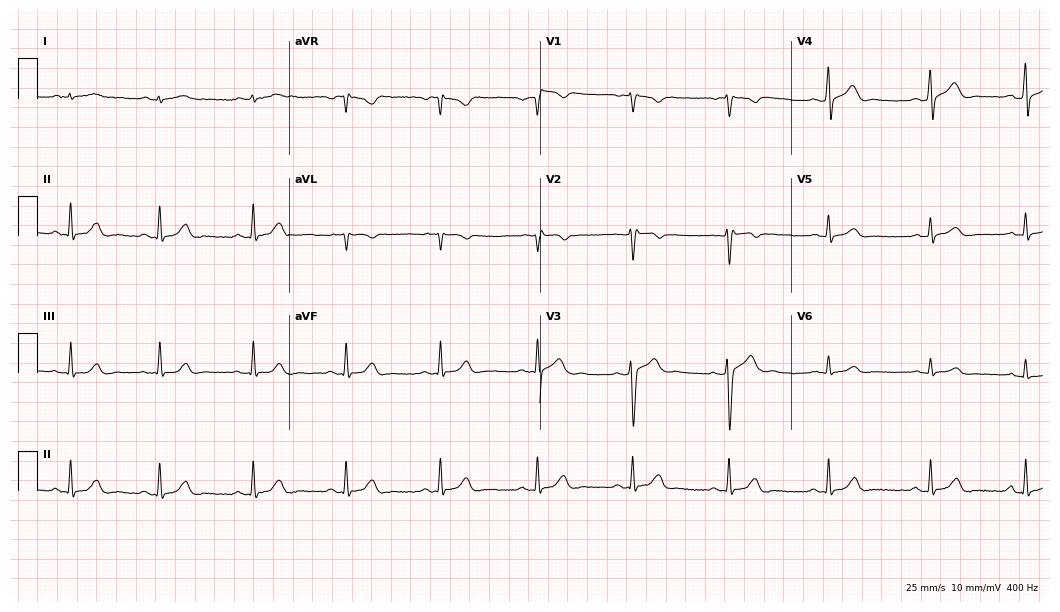
Resting 12-lead electrocardiogram (10.2-second recording at 400 Hz). Patient: a 38-year-old man. Read as a normal ECG.